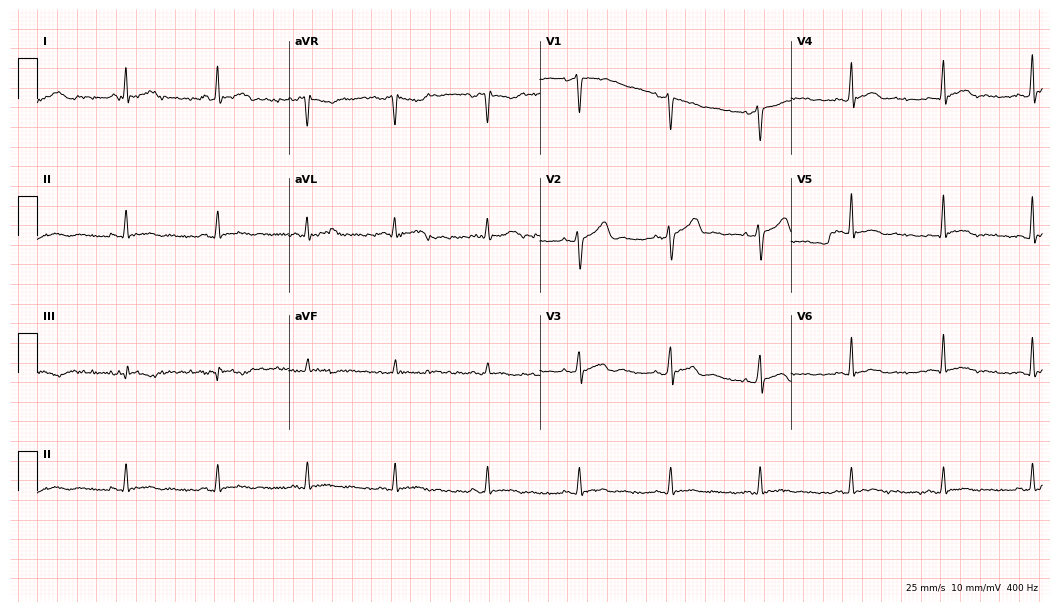
12-lead ECG from a 33-year-old male. Recorded interpretation: within normal limits.